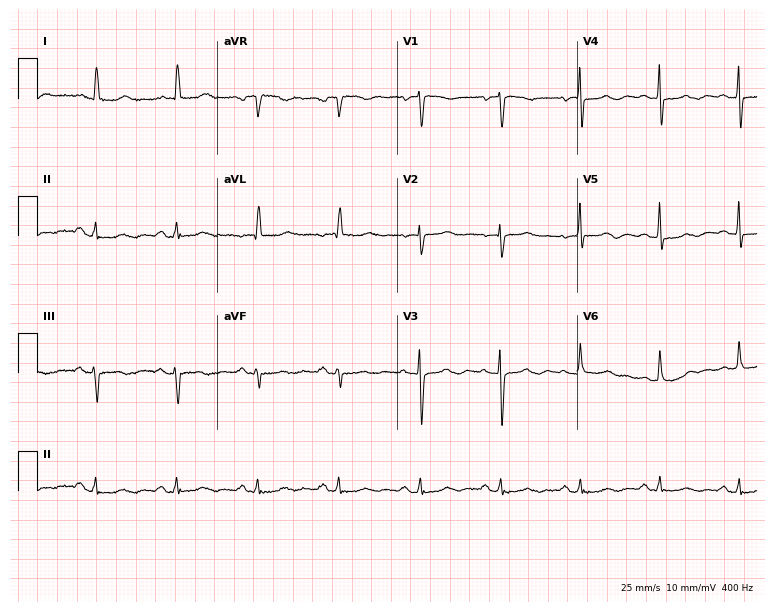
Standard 12-lead ECG recorded from a female, 72 years old. Read as a normal ECG.